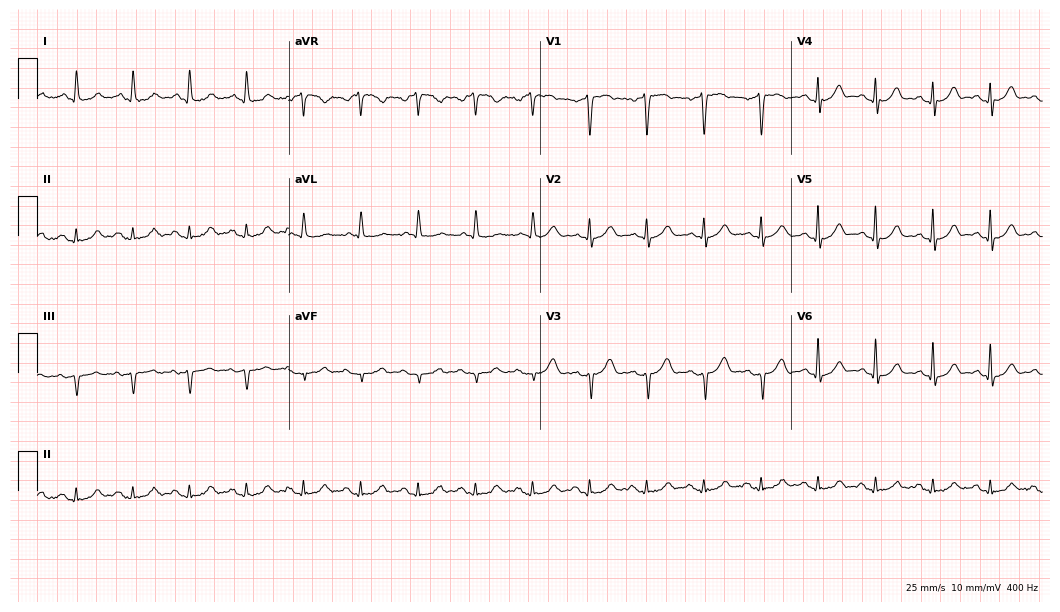
12-lead ECG (10.2-second recording at 400 Hz) from an 85-year-old male. Findings include sinus tachycardia (a sinus rate of 100 beats per minute or more).